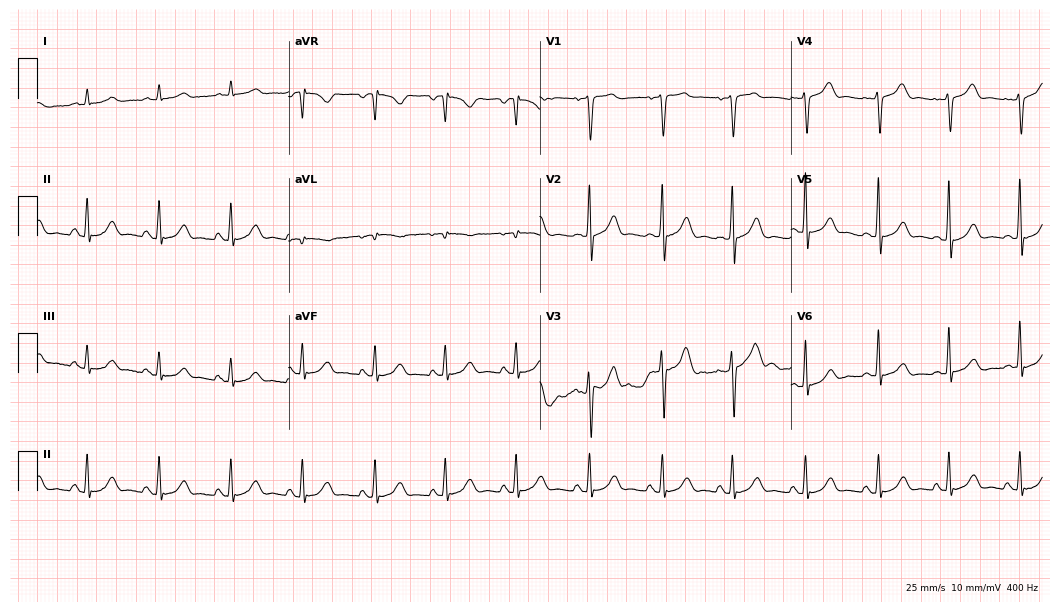
Resting 12-lead electrocardiogram. Patient: a 66-year-old male. Read as a normal ECG.